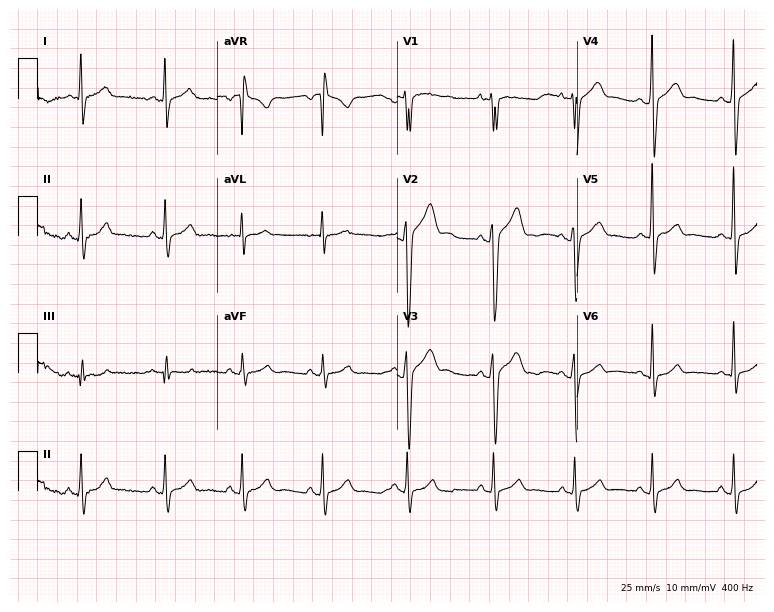
ECG — a man, 17 years old. Labelled as a normal ECG.